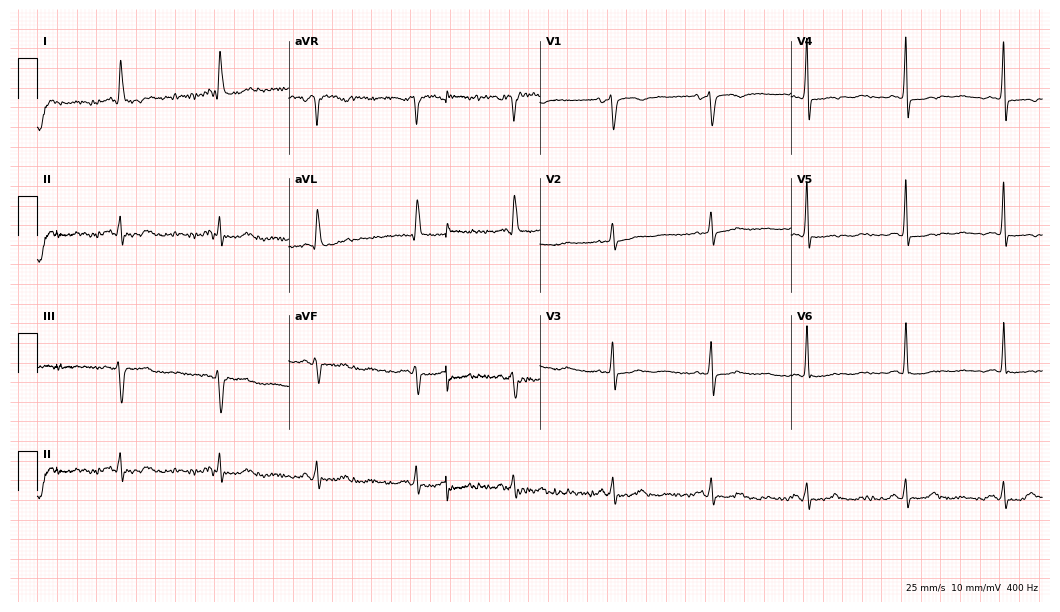
Standard 12-lead ECG recorded from a 70-year-old female. Read as a normal ECG.